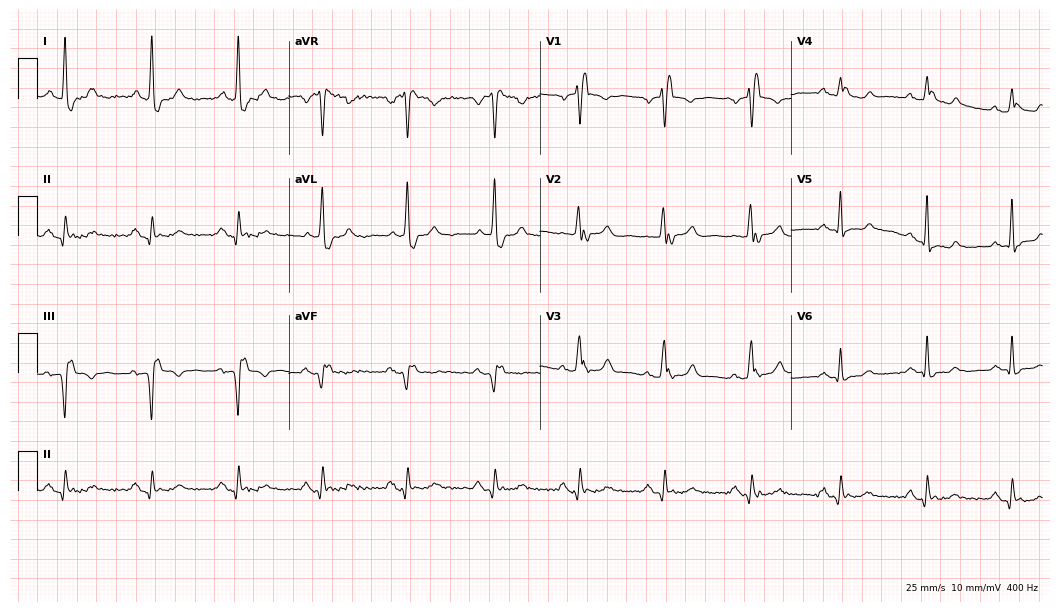
12-lead ECG from a 71-year-old man (10.2-second recording at 400 Hz). Shows right bundle branch block (RBBB).